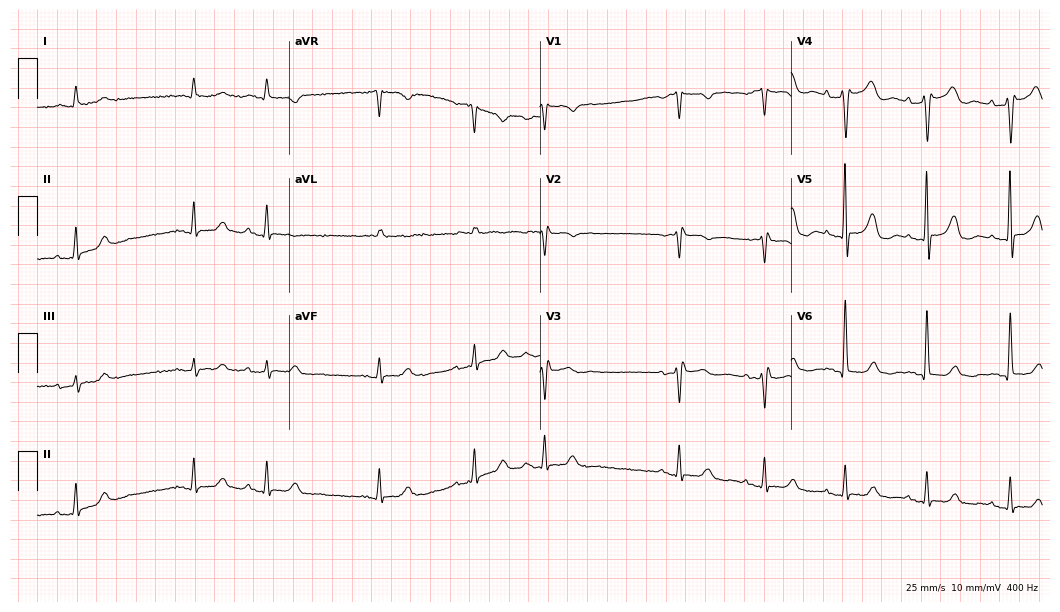
Electrocardiogram (10.2-second recording at 400 Hz), a 79-year-old male. Of the six screened findings (first-degree AV block, right bundle branch block, left bundle branch block, sinus bradycardia, atrial fibrillation, sinus tachycardia), none is recorded.